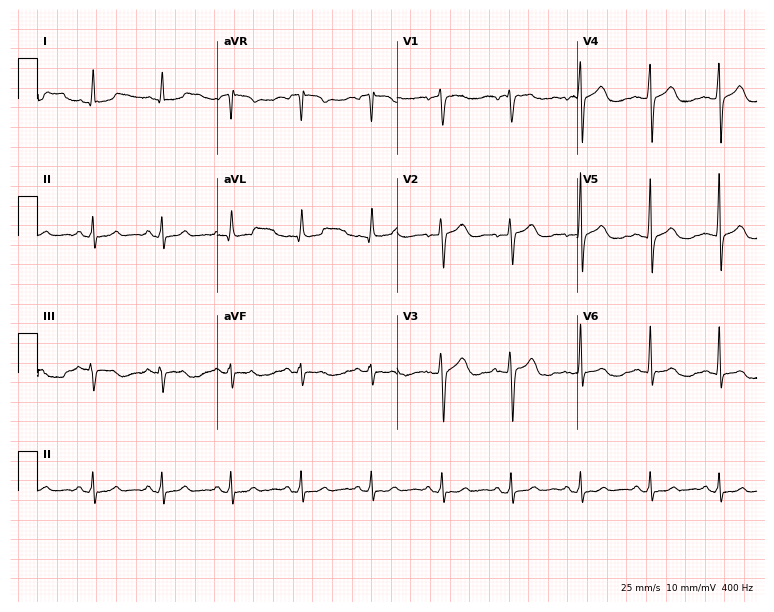
Electrocardiogram, a 53-year-old man. Overall reading on record: normal ECG.